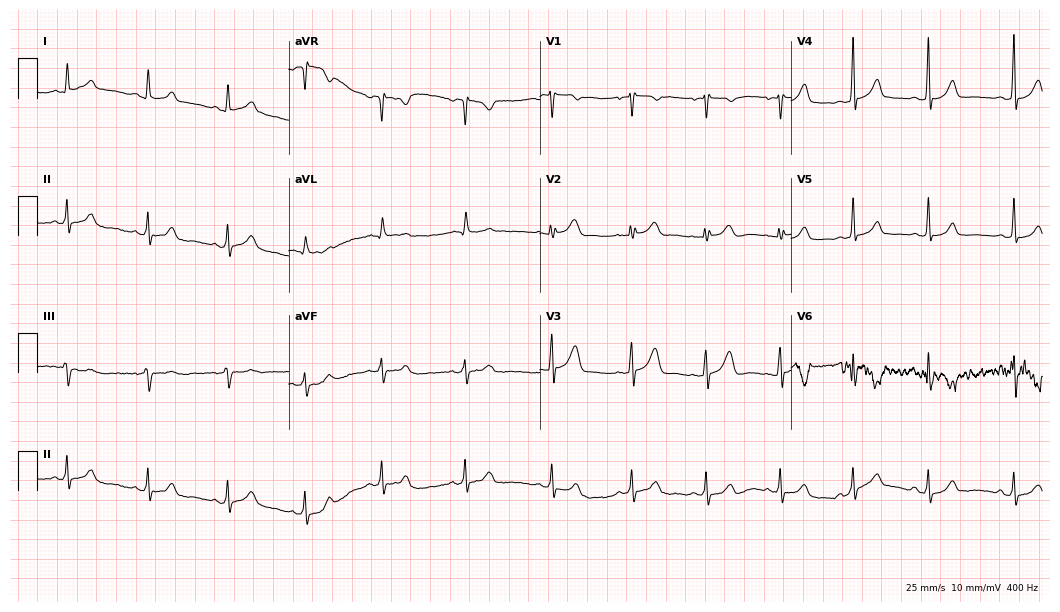
Standard 12-lead ECG recorded from a 28-year-old female patient. Read as a normal ECG.